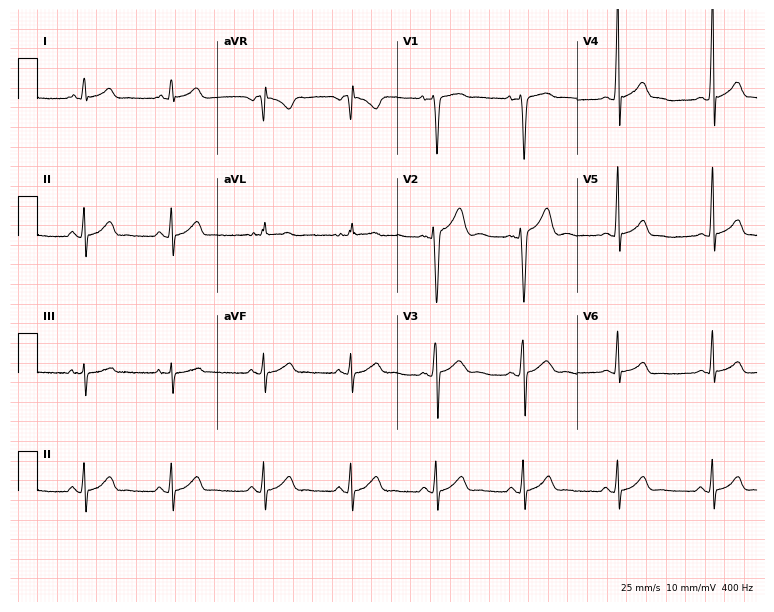
12-lead ECG from a 17-year-old male patient (7.3-second recording at 400 Hz). Recorded interpretation: within normal limits.